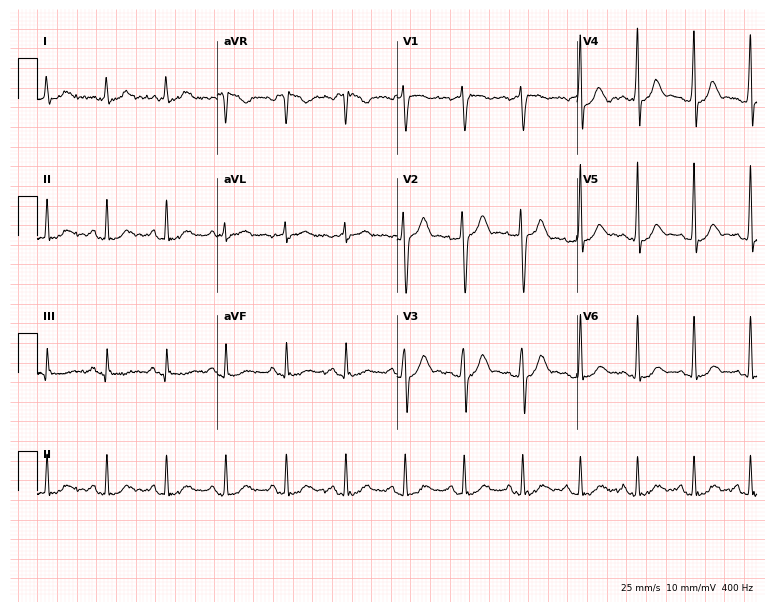
Electrocardiogram (7.3-second recording at 400 Hz), a male patient, 30 years old. Overall reading on record: normal ECG.